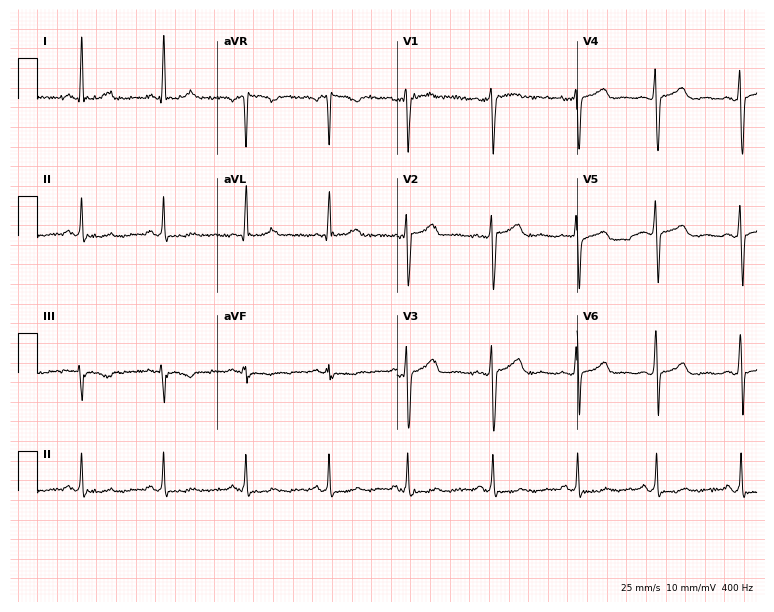
12-lead ECG from a female, 33 years old (7.3-second recording at 400 Hz). Recorded interpretation: within normal limits.